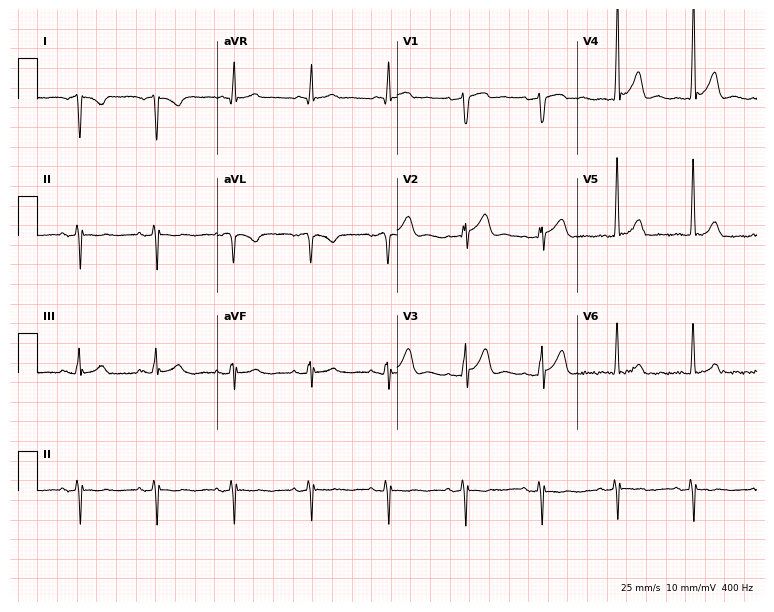
12-lead ECG from a 50-year-old man. Screened for six findings — first-degree AV block, right bundle branch block, left bundle branch block, sinus bradycardia, atrial fibrillation, sinus tachycardia — none is recorded. Only these six findings were labelled.